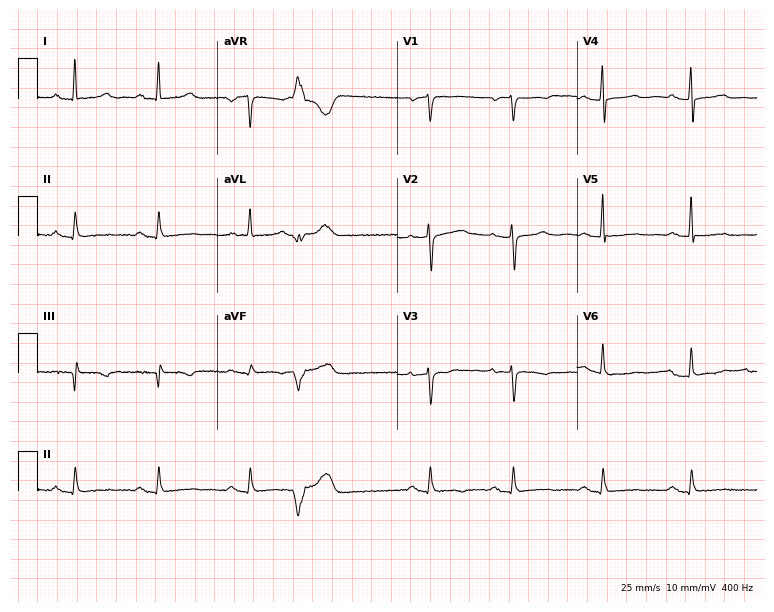
ECG (7.3-second recording at 400 Hz) — a 70-year-old female. Screened for six findings — first-degree AV block, right bundle branch block, left bundle branch block, sinus bradycardia, atrial fibrillation, sinus tachycardia — none is recorded.